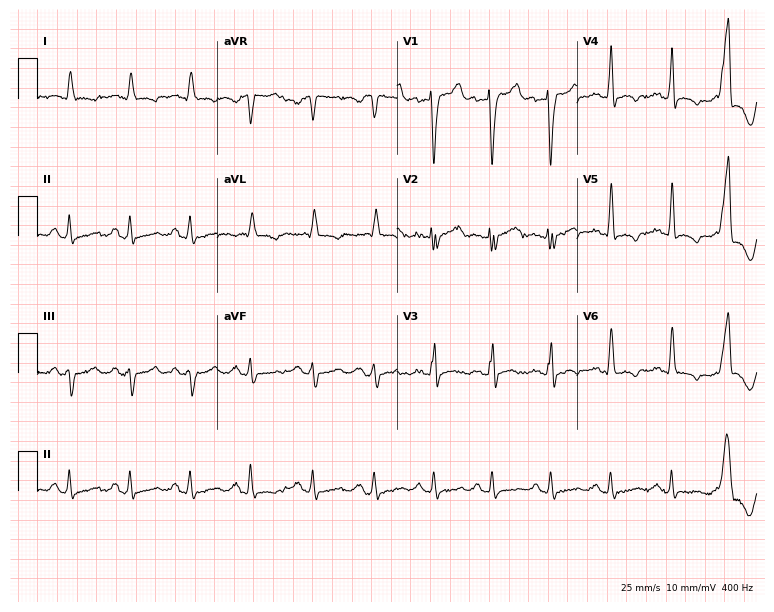
12-lead ECG from a 46-year-old male patient. No first-degree AV block, right bundle branch block (RBBB), left bundle branch block (LBBB), sinus bradycardia, atrial fibrillation (AF) or sinus tachycardia recorded for this tracing.